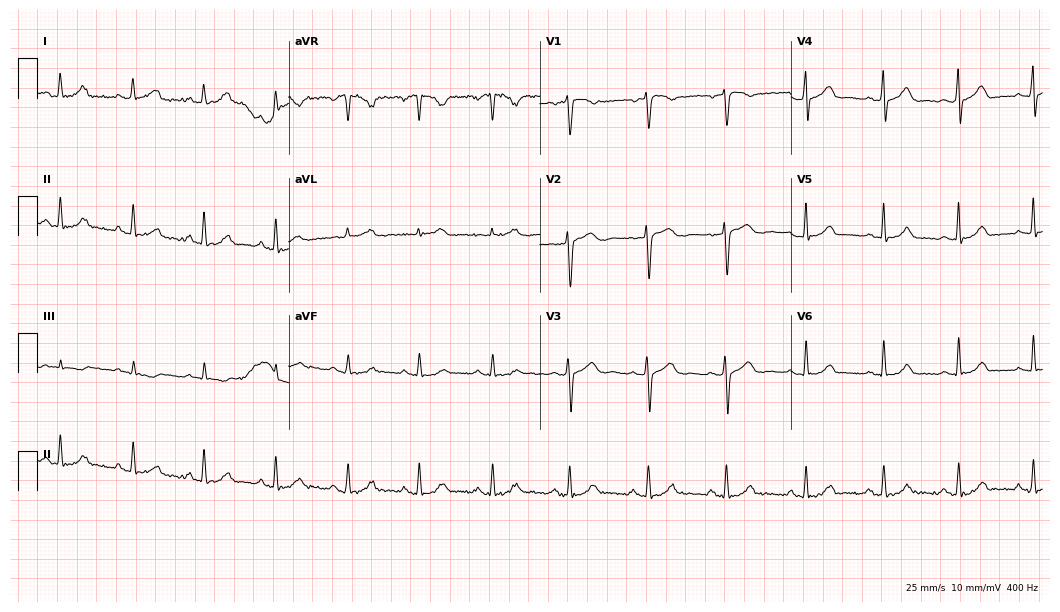
ECG — a female, 45 years old. Labelled as a normal ECG.